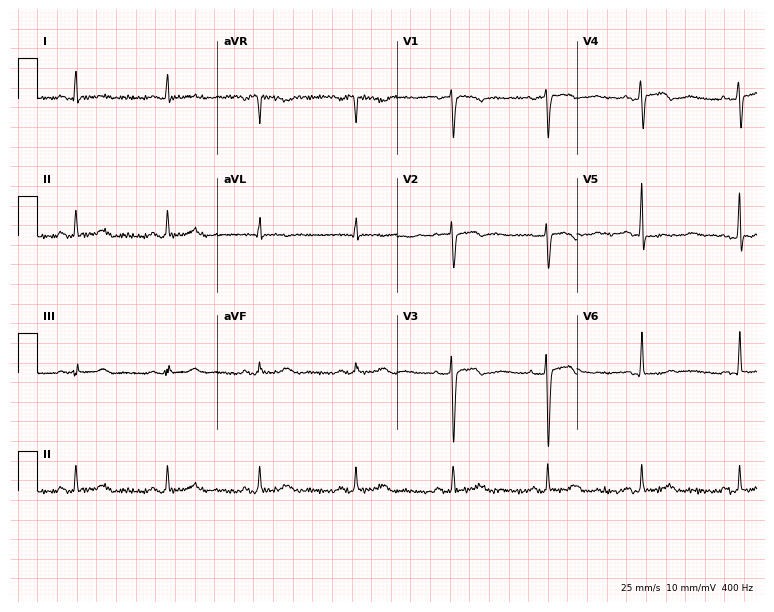
12-lead ECG from a woman, 37 years old (7.3-second recording at 400 Hz). Recorded interpretation: within normal limits.